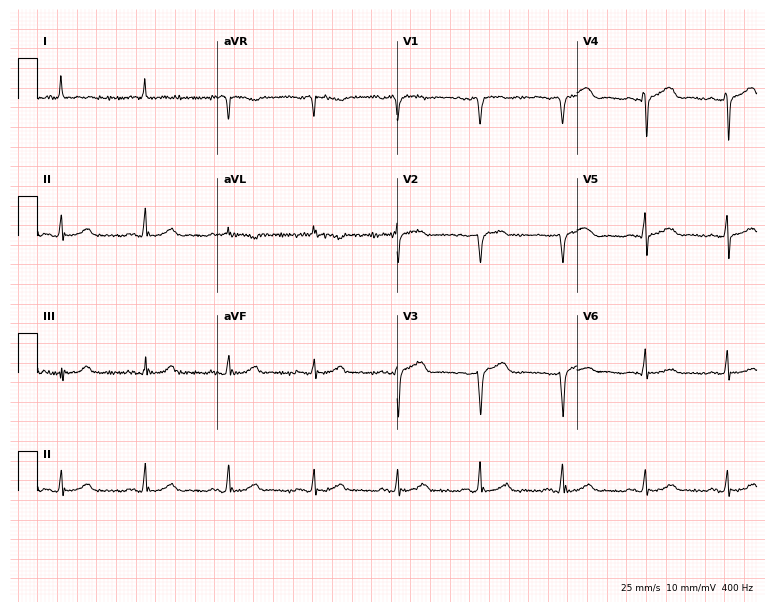
12-lead ECG from a female patient, 60 years old. Screened for six findings — first-degree AV block, right bundle branch block, left bundle branch block, sinus bradycardia, atrial fibrillation, sinus tachycardia — none is recorded.